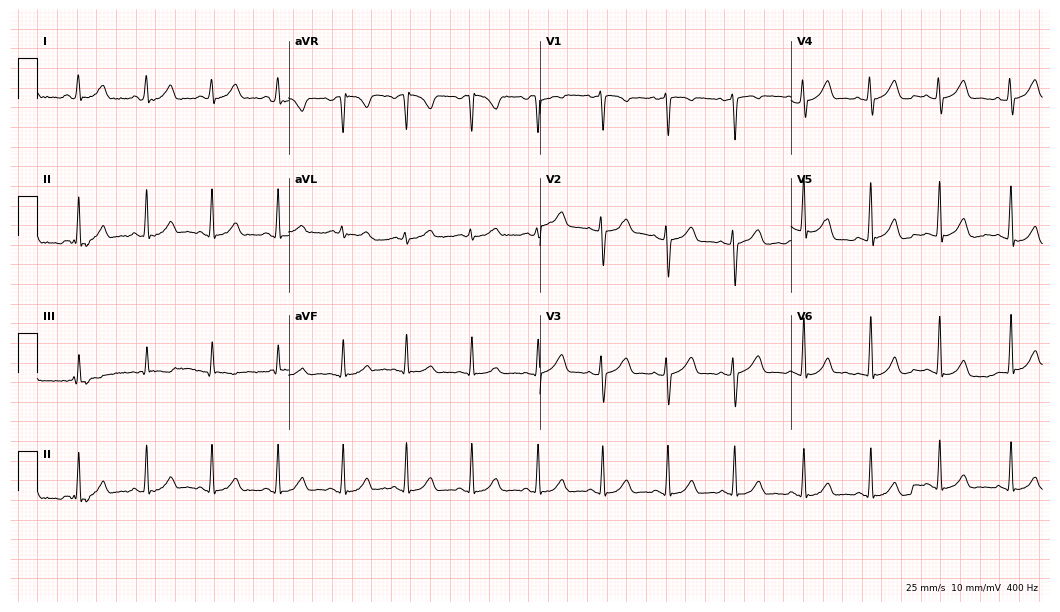
Resting 12-lead electrocardiogram (10.2-second recording at 400 Hz). Patient: a woman, 33 years old. Read as a normal ECG.